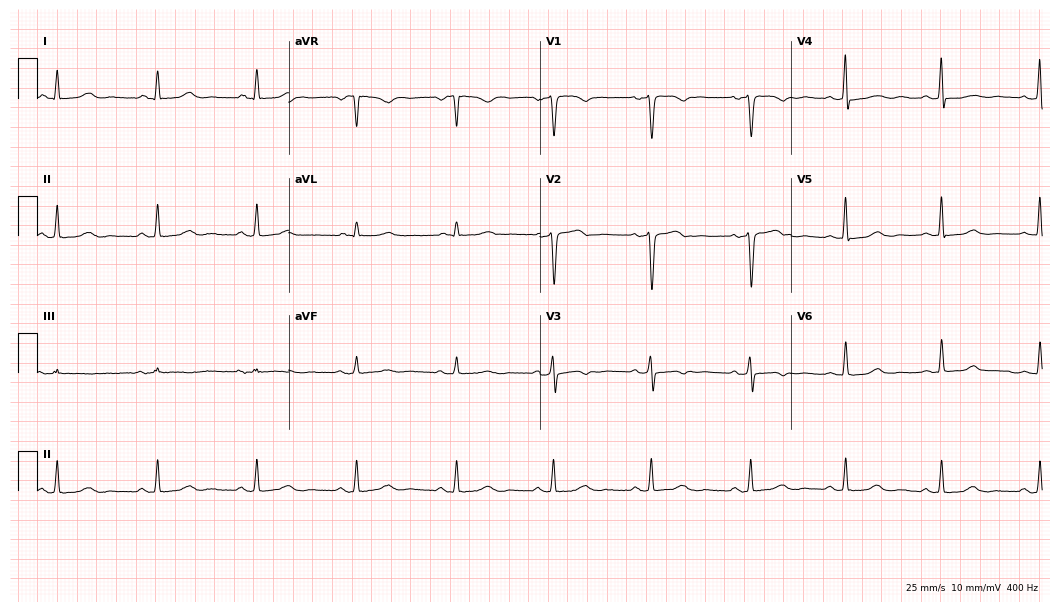
Electrocardiogram, a female patient, 55 years old. Of the six screened findings (first-degree AV block, right bundle branch block, left bundle branch block, sinus bradycardia, atrial fibrillation, sinus tachycardia), none is recorded.